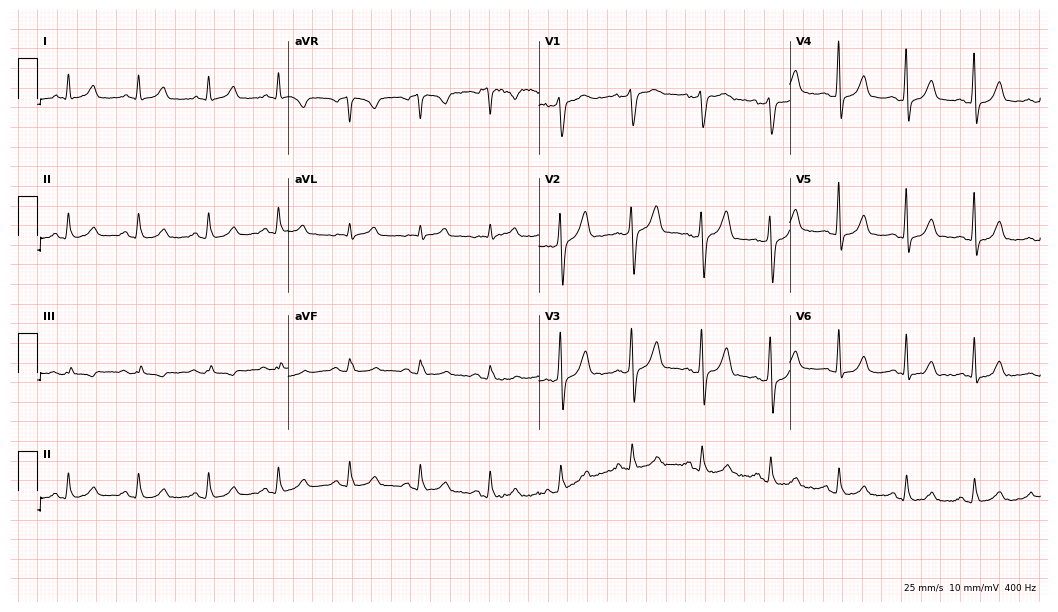
12-lead ECG (10.2-second recording at 400 Hz) from a male, 61 years old. Labelled as a normal ECG.